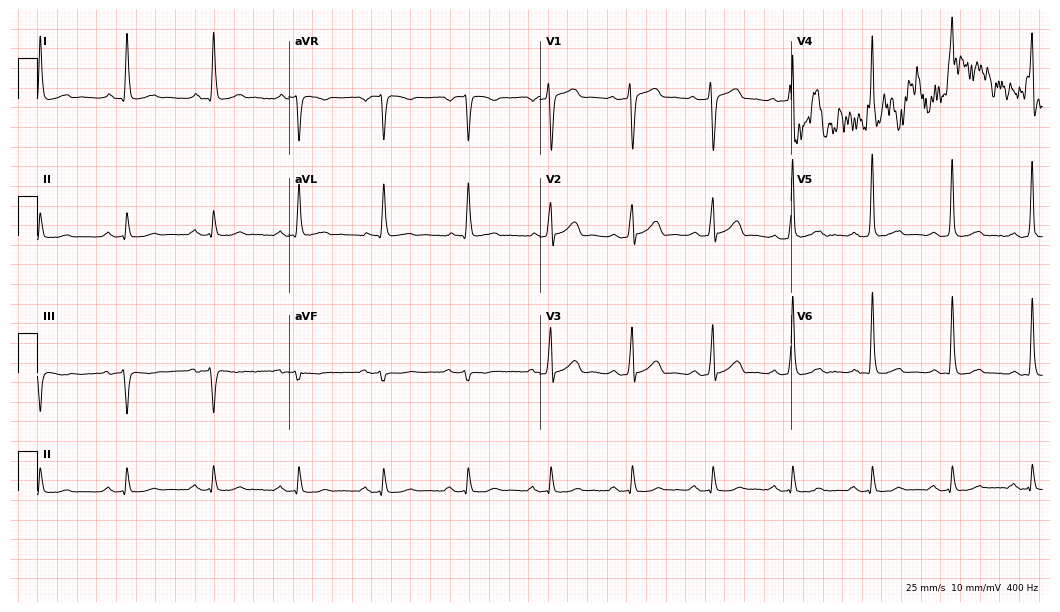
Standard 12-lead ECG recorded from a man, 59 years old (10.2-second recording at 400 Hz). None of these six findings is recorded: first-degree AV block, right bundle branch block, left bundle branch block, sinus bradycardia, atrial fibrillation, sinus tachycardia.